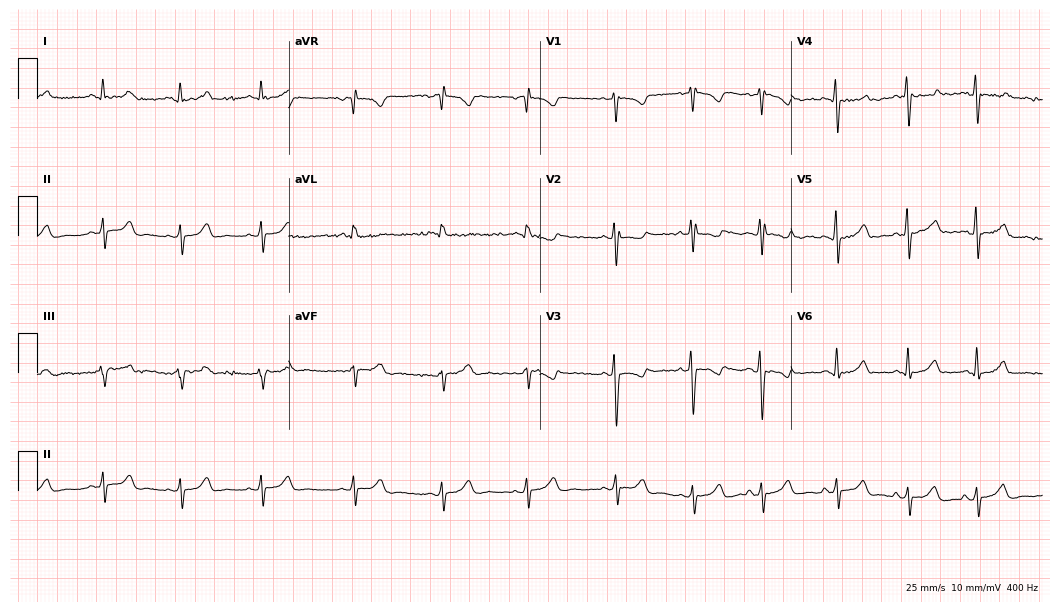
Standard 12-lead ECG recorded from a female patient, 23 years old. Read as a normal ECG.